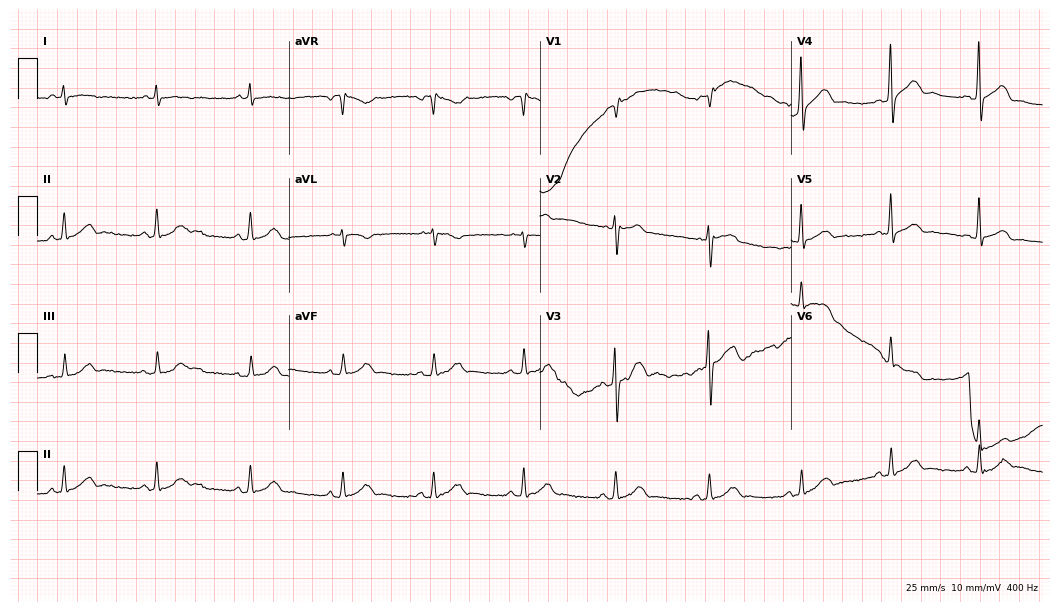
12-lead ECG from a man, 64 years old. Labelled as a normal ECG.